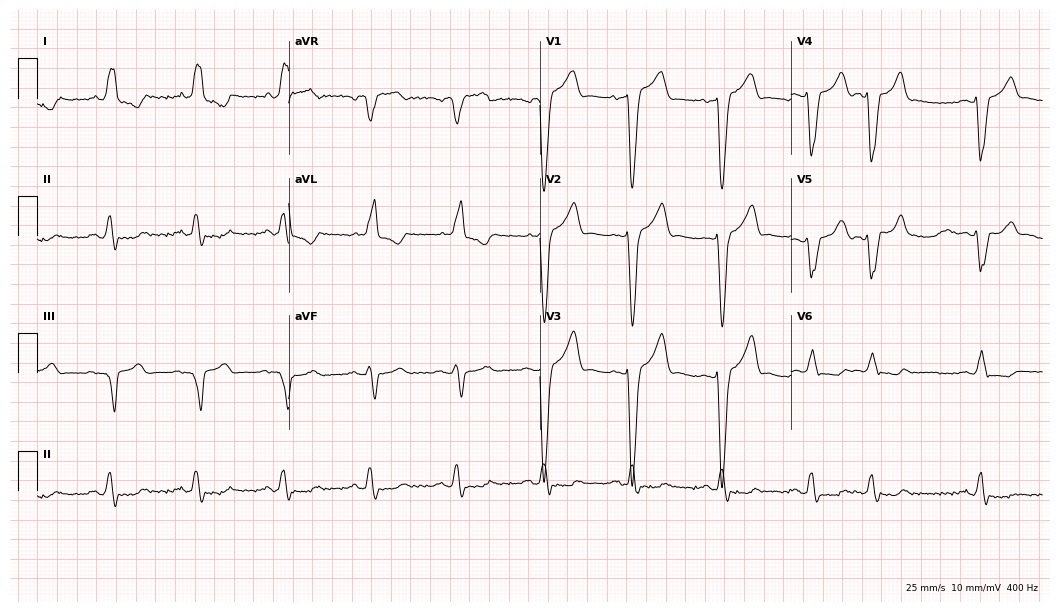
Resting 12-lead electrocardiogram (10.2-second recording at 400 Hz). Patient: a male, 75 years old. The tracing shows left bundle branch block (LBBB).